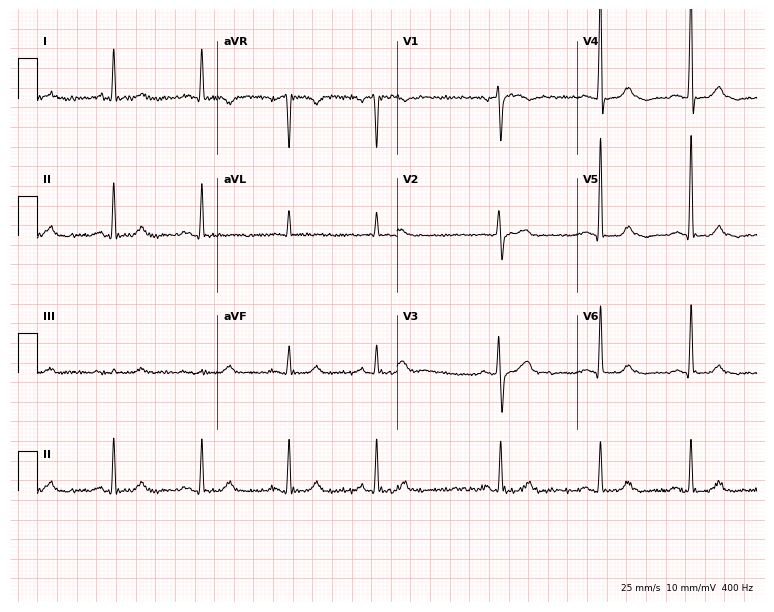
Standard 12-lead ECG recorded from a male, 78 years old. None of these six findings is recorded: first-degree AV block, right bundle branch block, left bundle branch block, sinus bradycardia, atrial fibrillation, sinus tachycardia. Other findings, if any, are not listed.